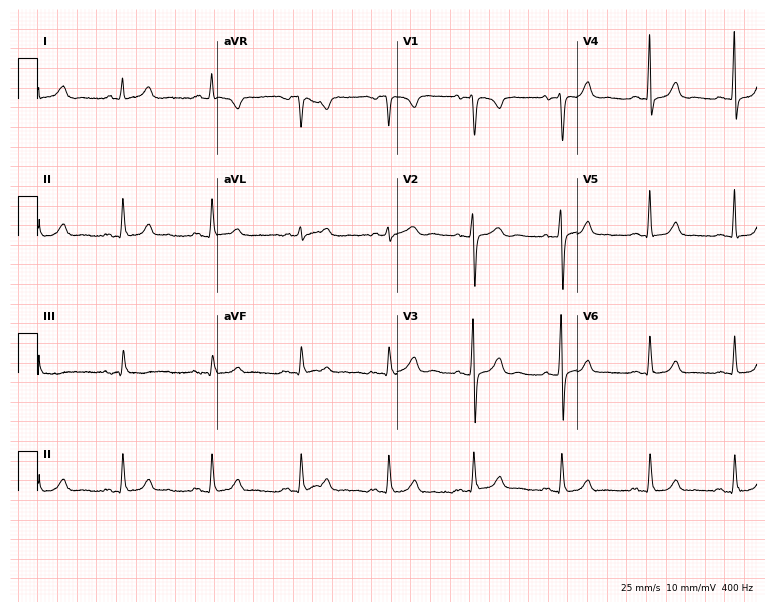
Standard 12-lead ECG recorded from a female, 43 years old (7.3-second recording at 400 Hz). Read as a normal ECG.